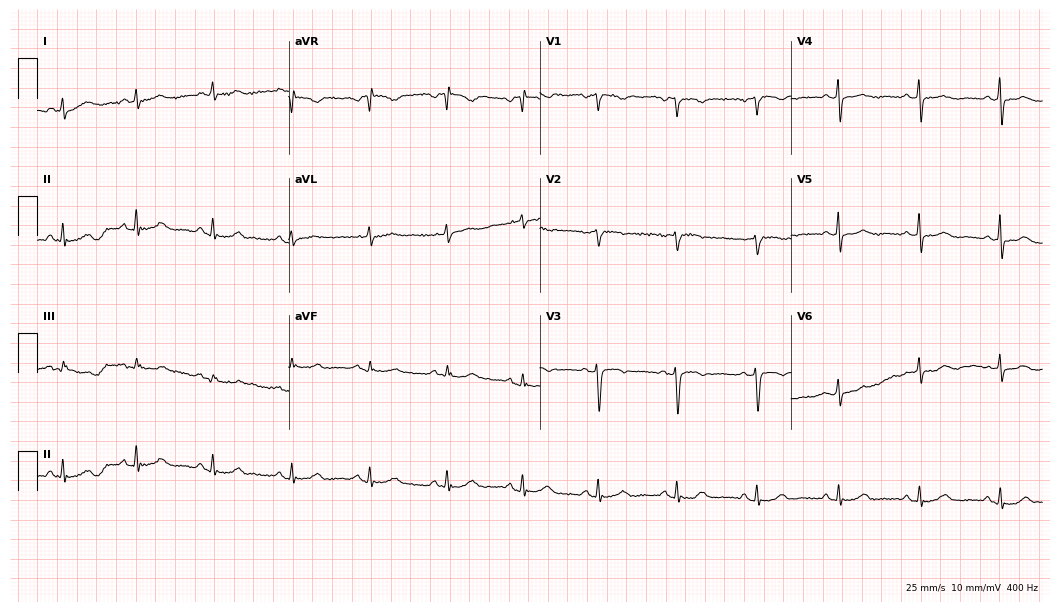
12-lead ECG from a woman, 67 years old. Screened for six findings — first-degree AV block, right bundle branch block, left bundle branch block, sinus bradycardia, atrial fibrillation, sinus tachycardia — none is recorded.